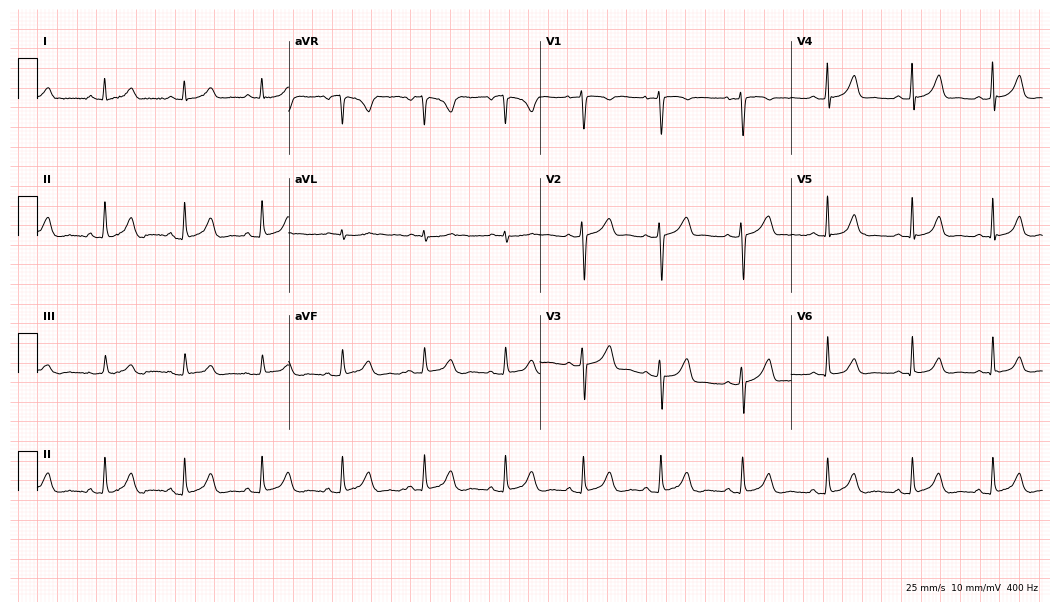
12-lead ECG (10.2-second recording at 400 Hz) from a 38-year-old woman. Labelled as a normal ECG.